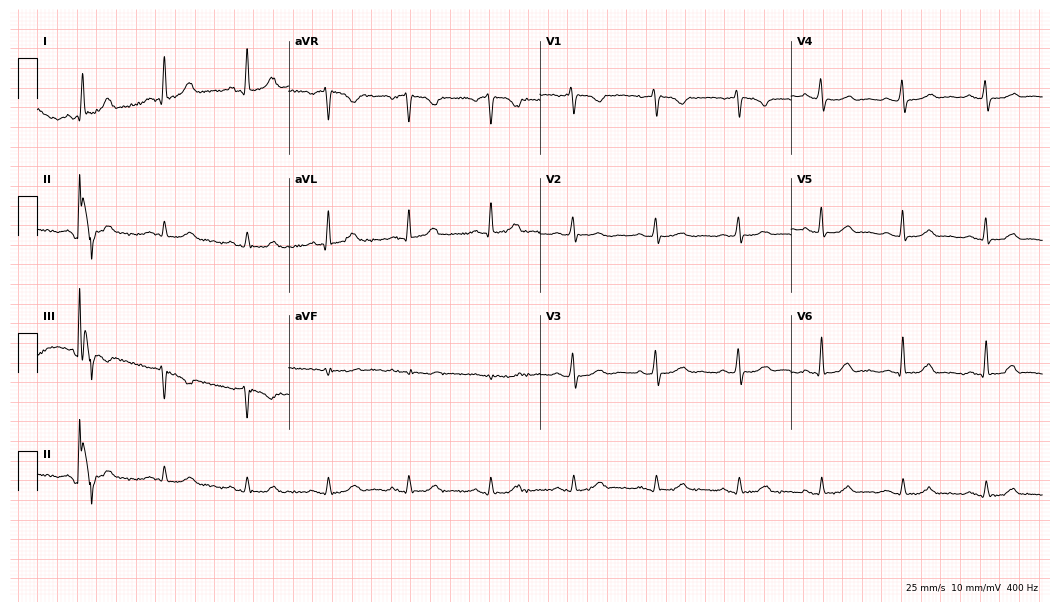
Resting 12-lead electrocardiogram. Patient: a 57-year-old female. Read as a normal ECG.